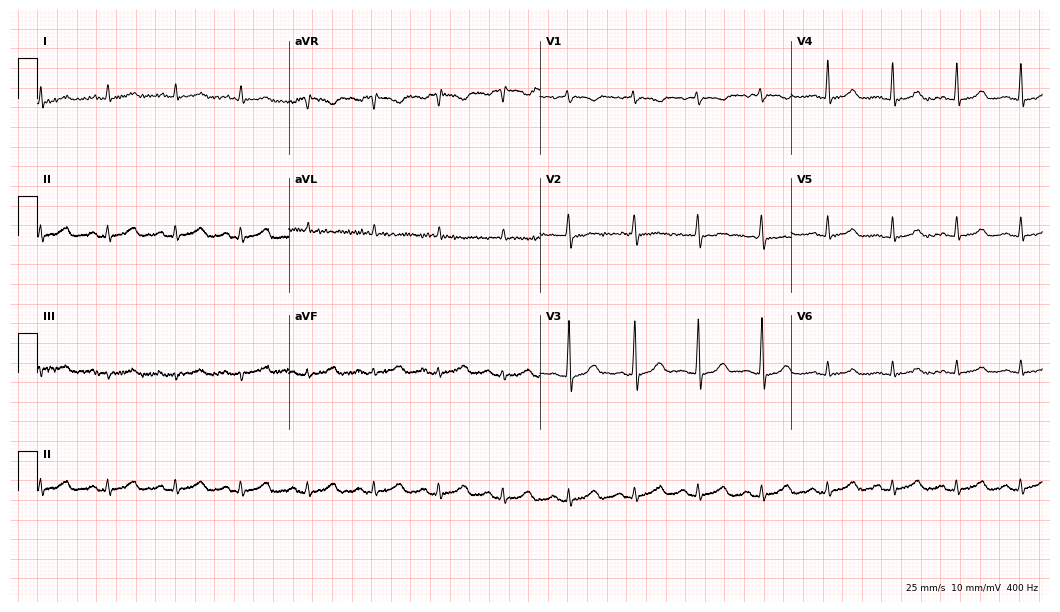
12-lead ECG (10.2-second recording at 400 Hz) from a 19-year-old female patient. Labelled as a normal ECG.